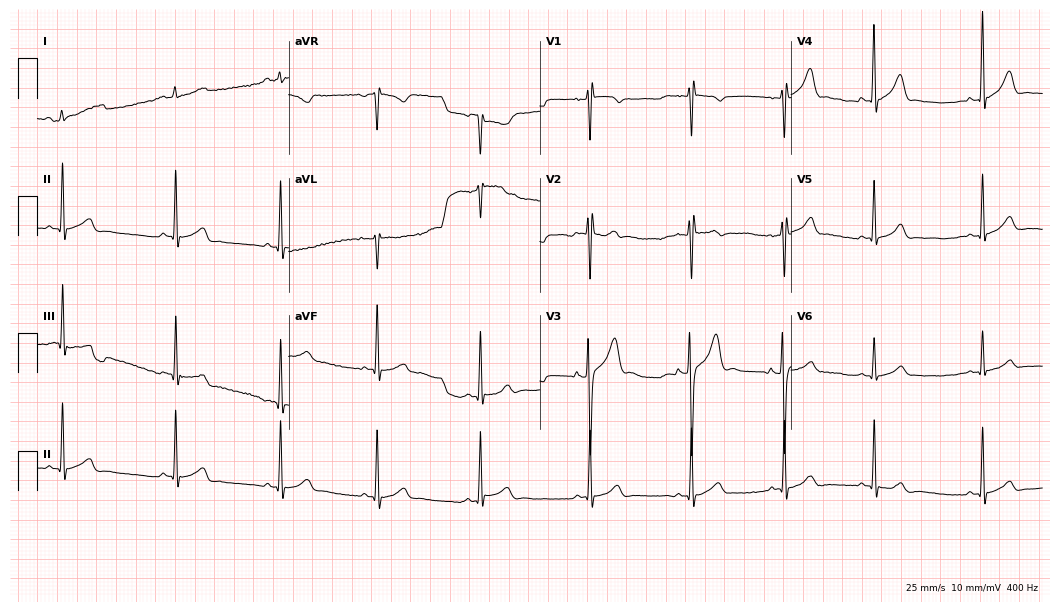
12-lead ECG from a 17-year-old male patient. Recorded interpretation: within normal limits.